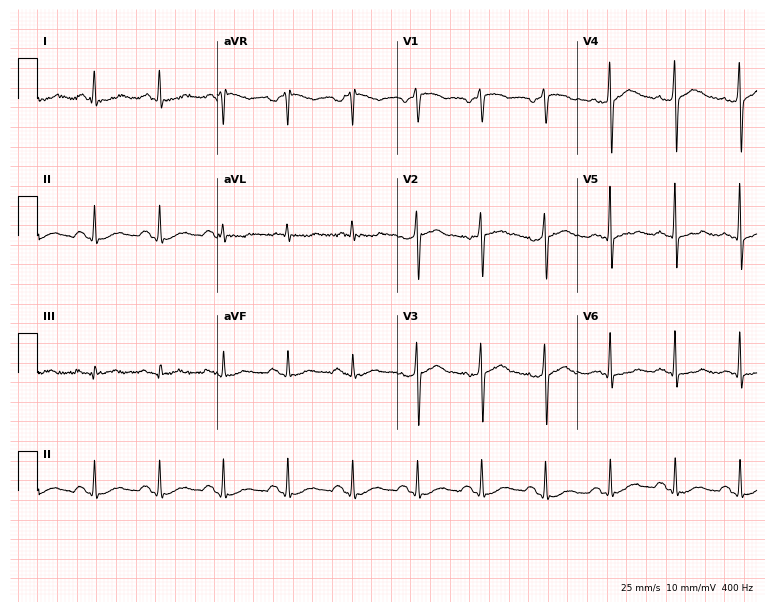
12-lead ECG from a 48-year-old male. Labelled as a normal ECG.